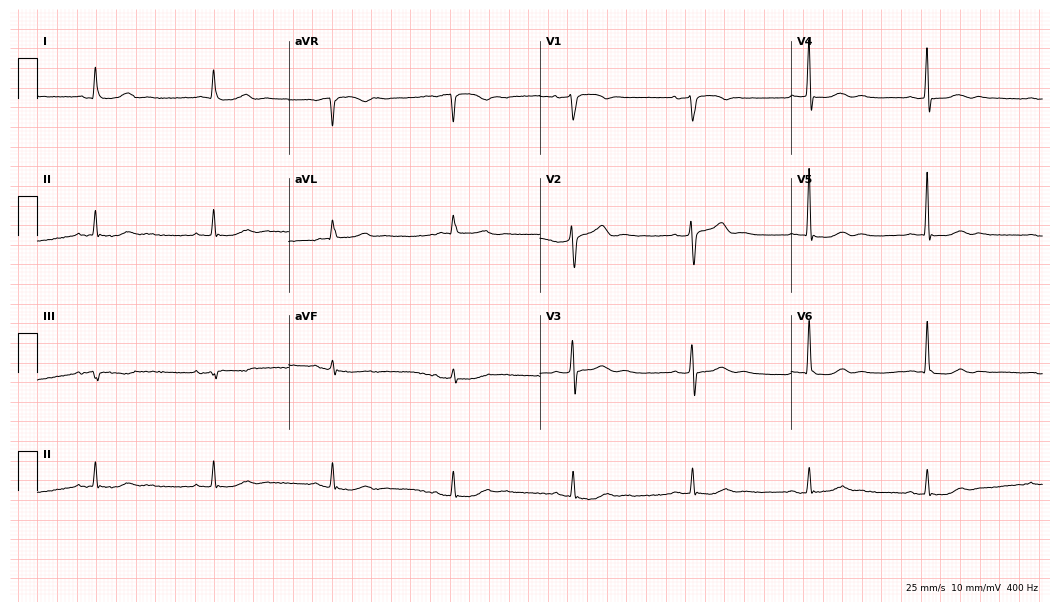
Standard 12-lead ECG recorded from a man, 81 years old (10.2-second recording at 400 Hz). The tracing shows sinus bradycardia (a sinus rate of 50 beats per minute or less).